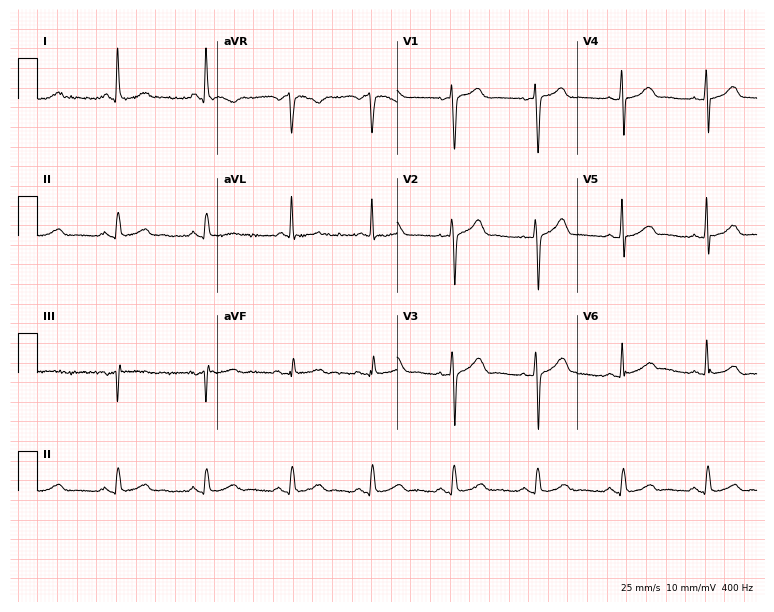
Standard 12-lead ECG recorded from a 43-year-old female (7.3-second recording at 400 Hz). Read as a normal ECG.